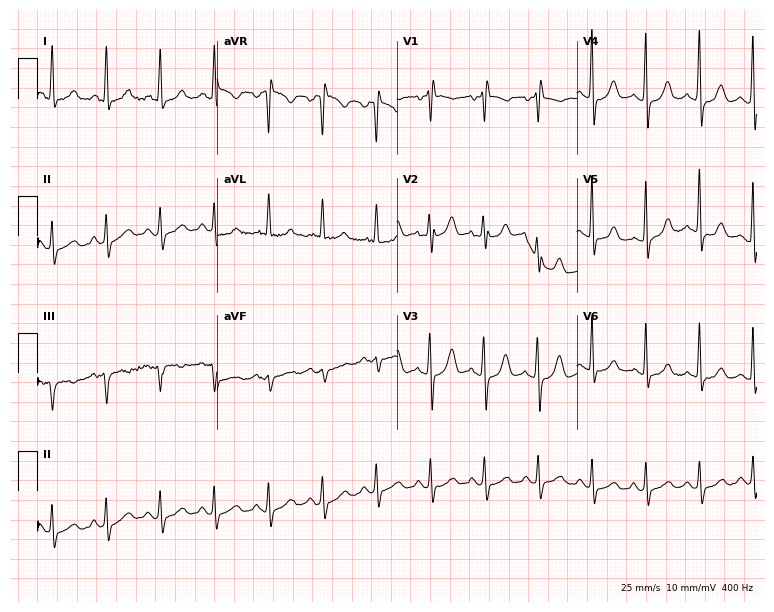
Electrocardiogram, a 78-year-old female patient. Of the six screened findings (first-degree AV block, right bundle branch block, left bundle branch block, sinus bradycardia, atrial fibrillation, sinus tachycardia), none is recorded.